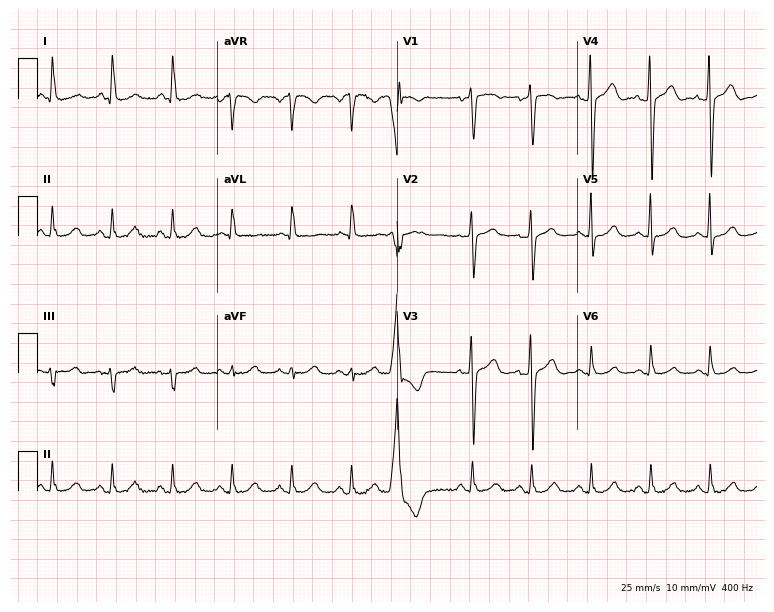
Standard 12-lead ECG recorded from a 60-year-old female. Read as a normal ECG.